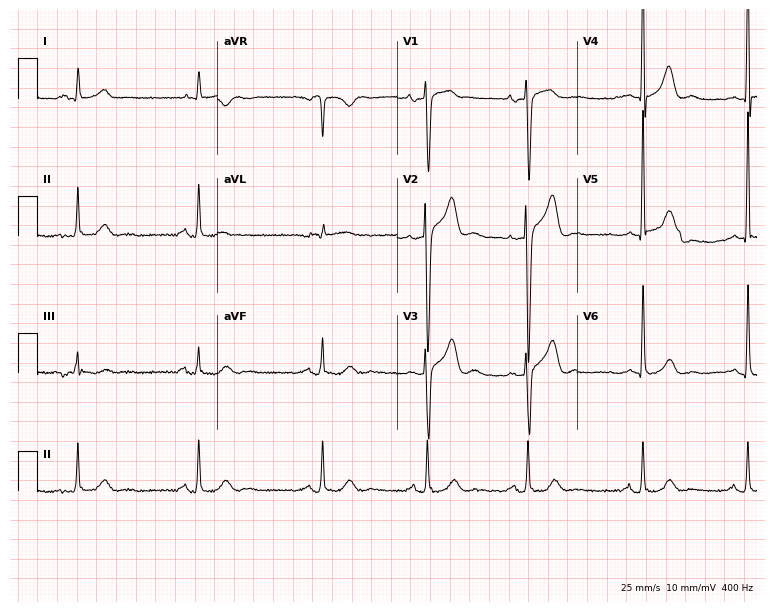
ECG (7.3-second recording at 400 Hz) — a male patient, 81 years old. Labelled as a normal ECG.